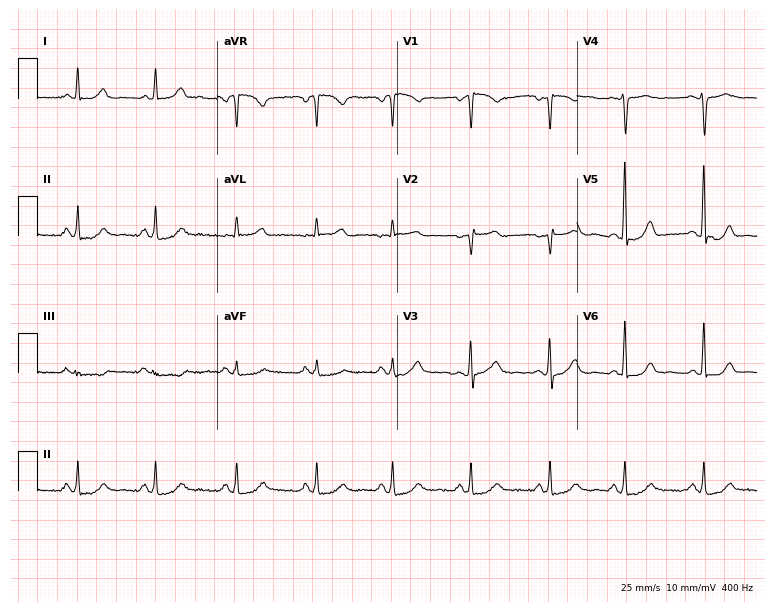
Electrocardiogram, a 37-year-old female patient. Overall reading on record: normal ECG.